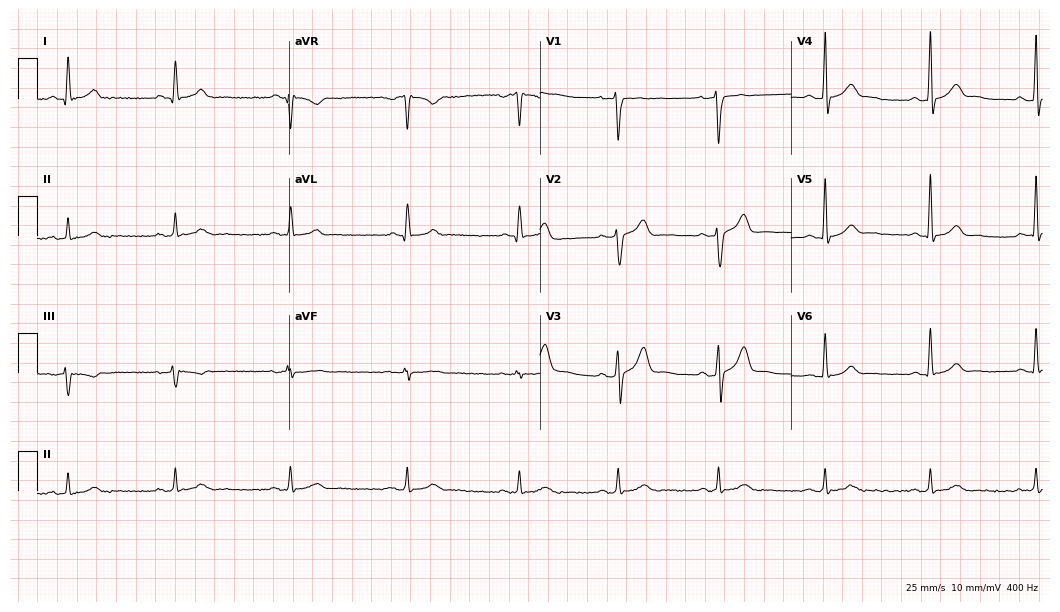
12-lead ECG from a 42-year-old male patient. Recorded interpretation: within normal limits.